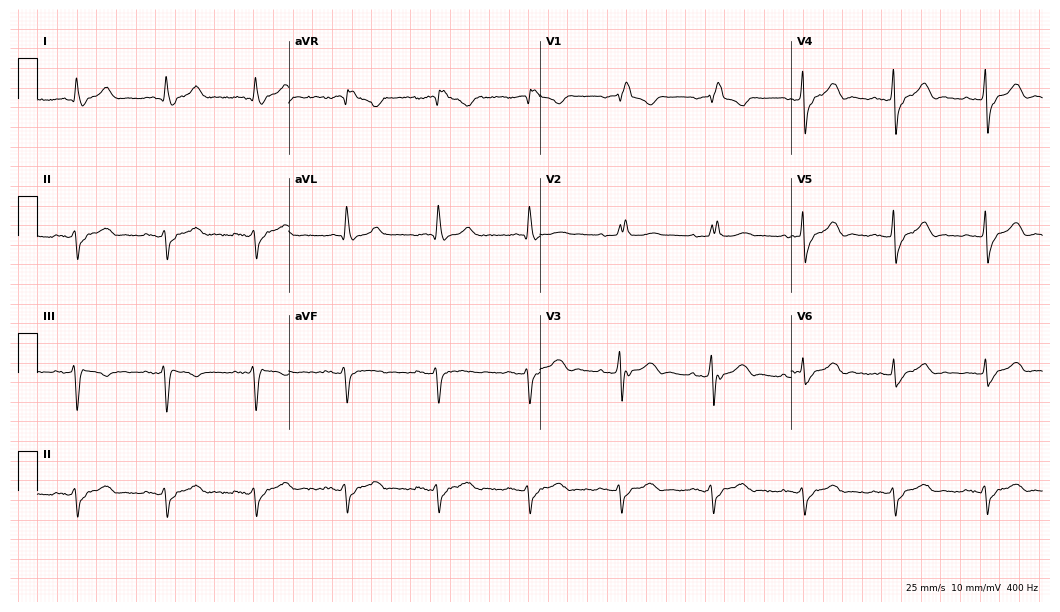
12-lead ECG from an 80-year-old male (10.2-second recording at 400 Hz). Shows right bundle branch block.